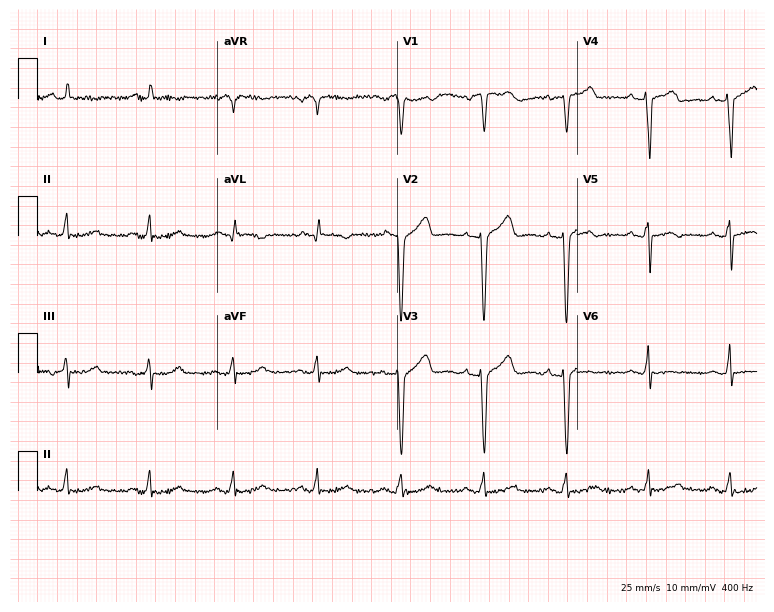
ECG — a 46-year-old man. Screened for six findings — first-degree AV block, right bundle branch block, left bundle branch block, sinus bradycardia, atrial fibrillation, sinus tachycardia — none is recorded. Only these six findings were labelled.